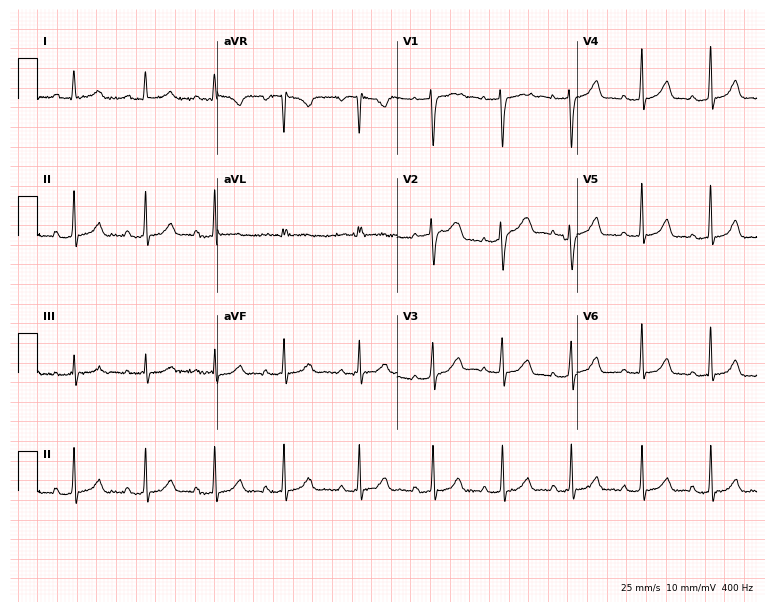
12-lead ECG from a 19-year-old woman. Recorded interpretation: within normal limits.